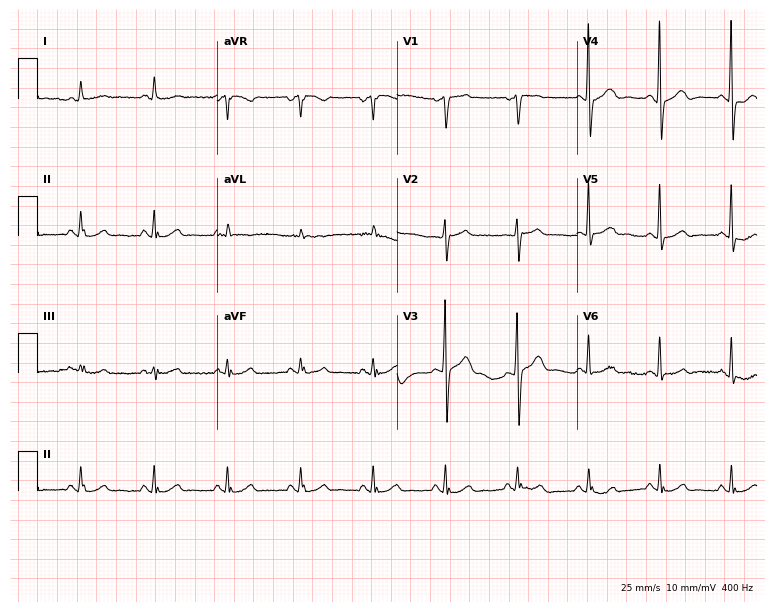
Standard 12-lead ECG recorded from a man, 62 years old (7.3-second recording at 400 Hz). None of these six findings is recorded: first-degree AV block, right bundle branch block (RBBB), left bundle branch block (LBBB), sinus bradycardia, atrial fibrillation (AF), sinus tachycardia.